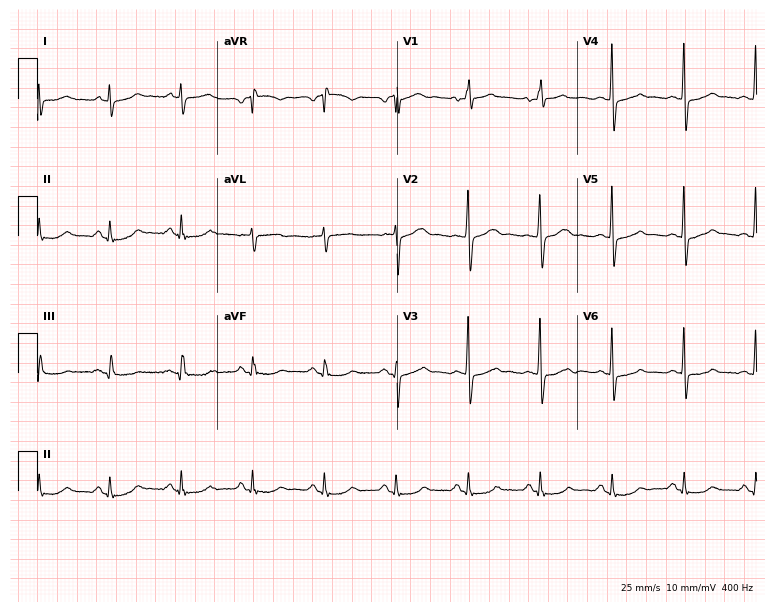
12-lead ECG (7.3-second recording at 400 Hz) from a 60-year-old man. Screened for six findings — first-degree AV block, right bundle branch block, left bundle branch block, sinus bradycardia, atrial fibrillation, sinus tachycardia — none is recorded. Findings outside these six are not listed.